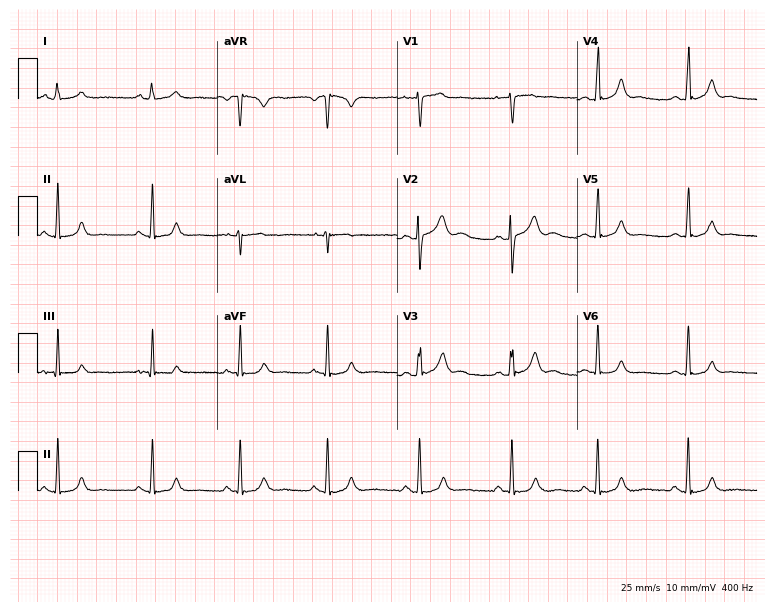
ECG — a 21-year-old woman. Labelled as a normal ECG.